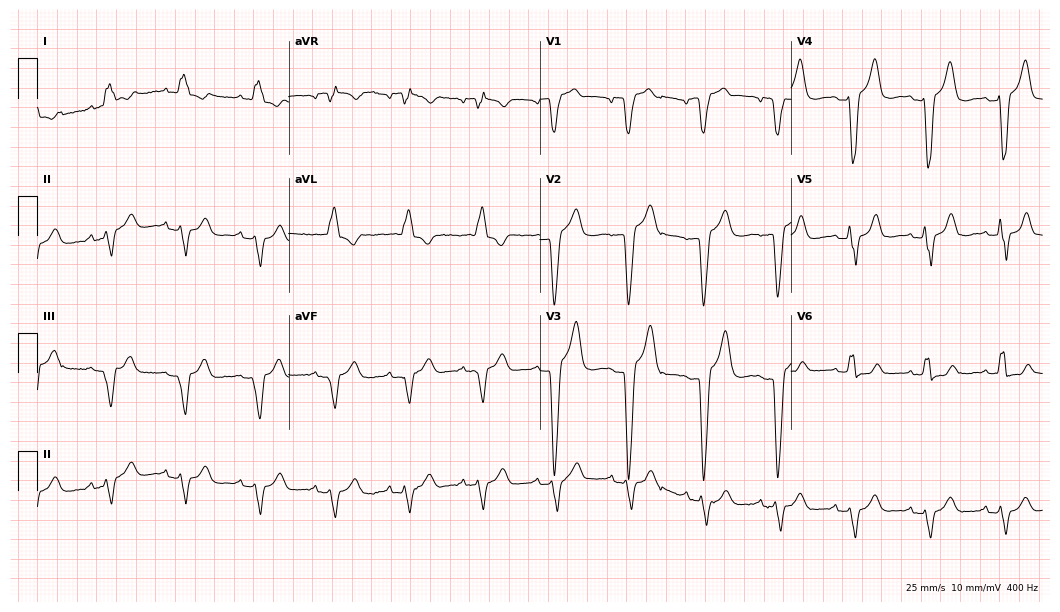
Resting 12-lead electrocardiogram (10.2-second recording at 400 Hz). Patient: a female, 73 years old. The tracing shows left bundle branch block.